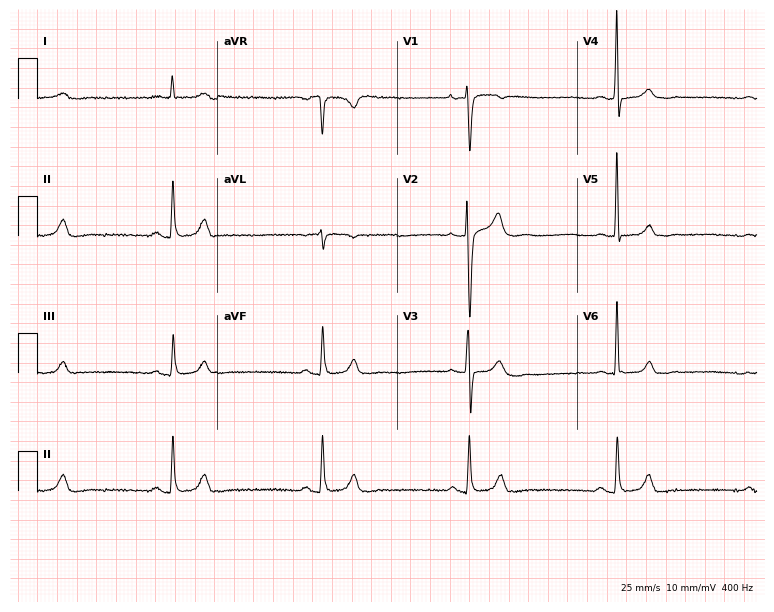
Standard 12-lead ECG recorded from a male patient, 45 years old (7.3-second recording at 400 Hz). The tracing shows sinus bradycardia (a sinus rate of 50 beats per minute or less).